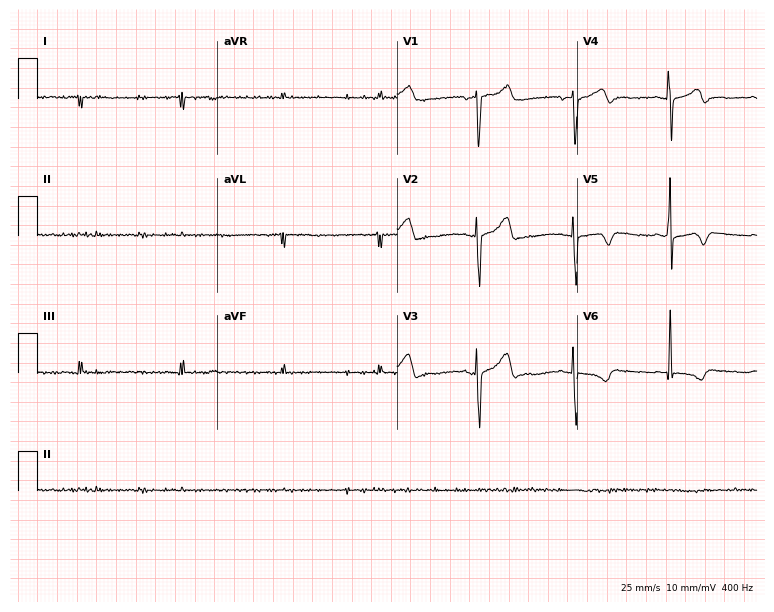
ECG — a female patient, 42 years old. Screened for six findings — first-degree AV block, right bundle branch block, left bundle branch block, sinus bradycardia, atrial fibrillation, sinus tachycardia — none is recorded. Other findings, if any, are not listed.